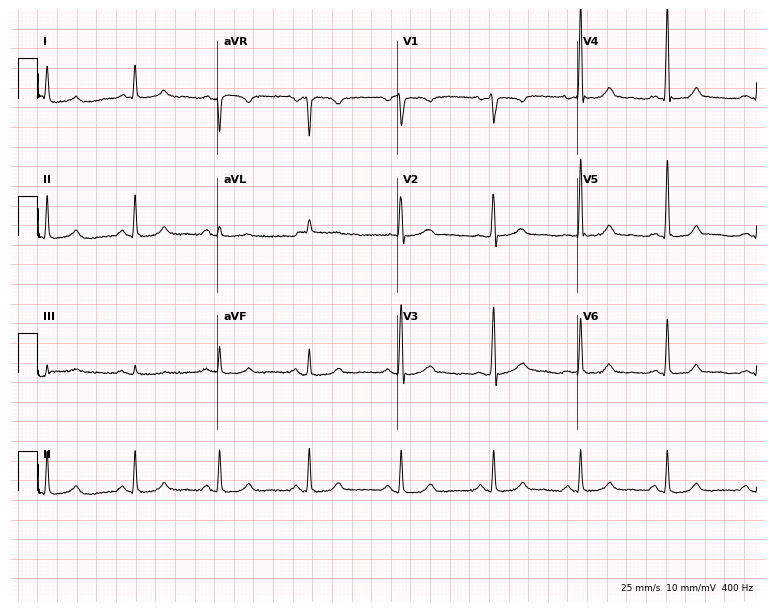
ECG — a female patient, 44 years old. Labelled as a normal ECG.